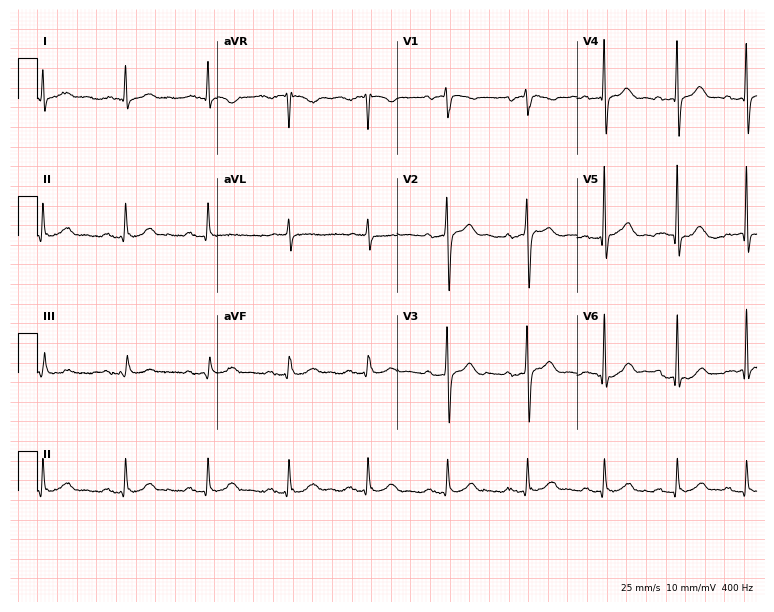
12-lead ECG from a male, 54 years old. Screened for six findings — first-degree AV block, right bundle branch block (RBBB), left bundle branch block (LBBB), sinus bradycardia, atrial fibrillation (AF), sinus tachycardia — none is recorded. Only these six findings were labelled.